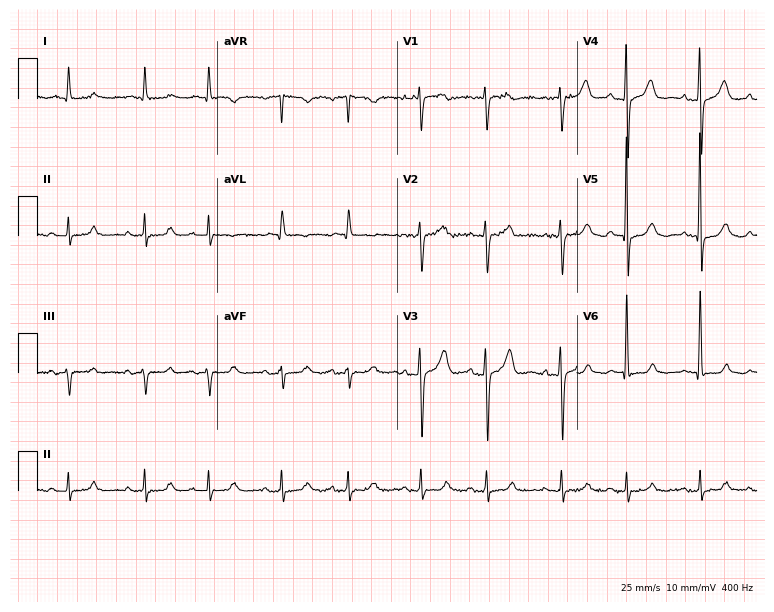
ECG — a man, 84 years old. Labelled as a normal ECG.